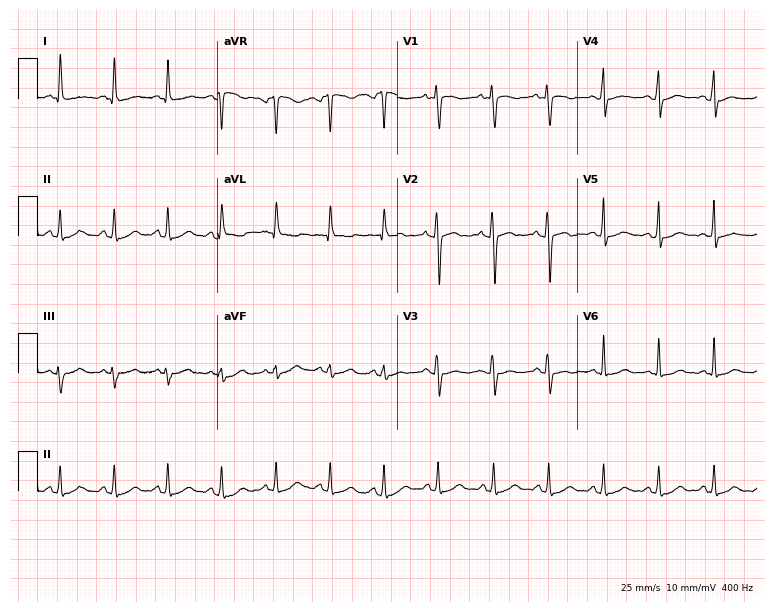
12-lead ECG from a female, 19 years old. Shows sinus tachycardia (a sinus rate of 100 beats per minute or more).